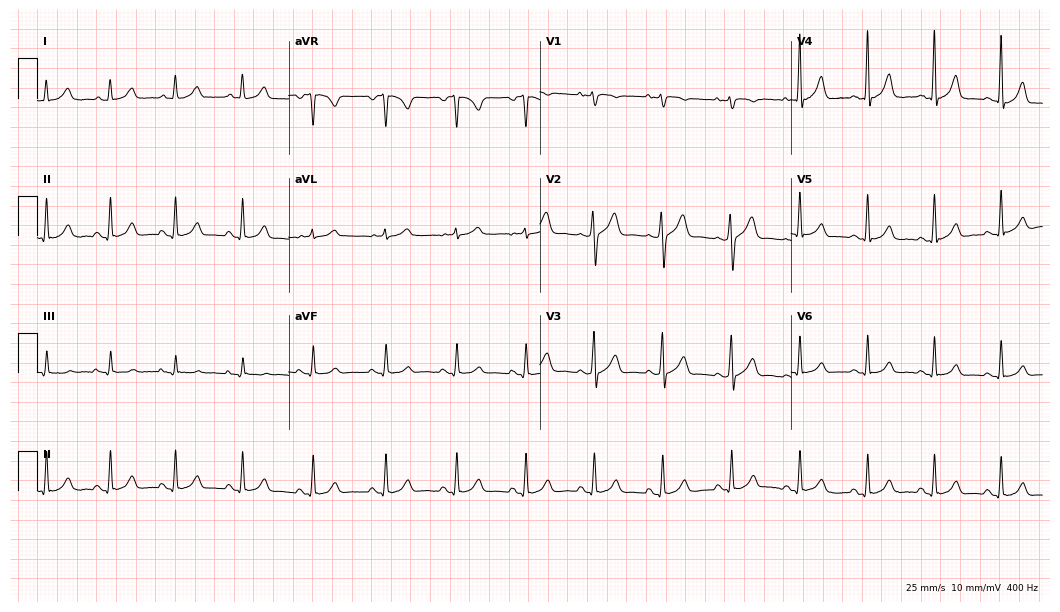
12-lead ECG from a man, 41 years old. Recorded interpretation: within normal limits.